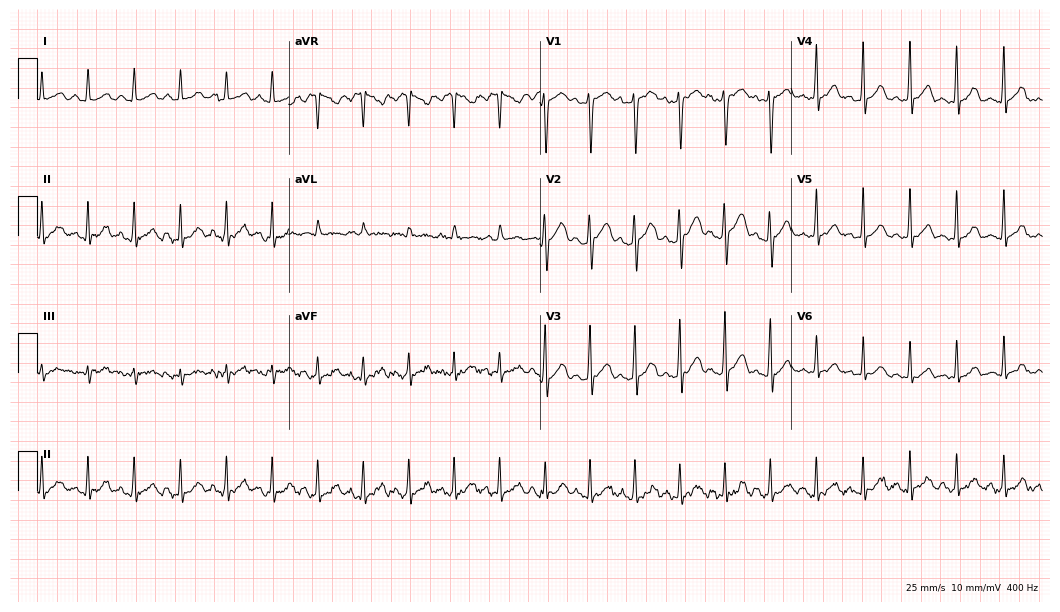
ECG — a 25-year-old woman. Screened for six findings — first-degree AV block, right bundle branch block, left bundle branch block, sinus bradycardia, atrial fibrillation, sinus tachycardia — none is recorded. Only these six findings were labelled.